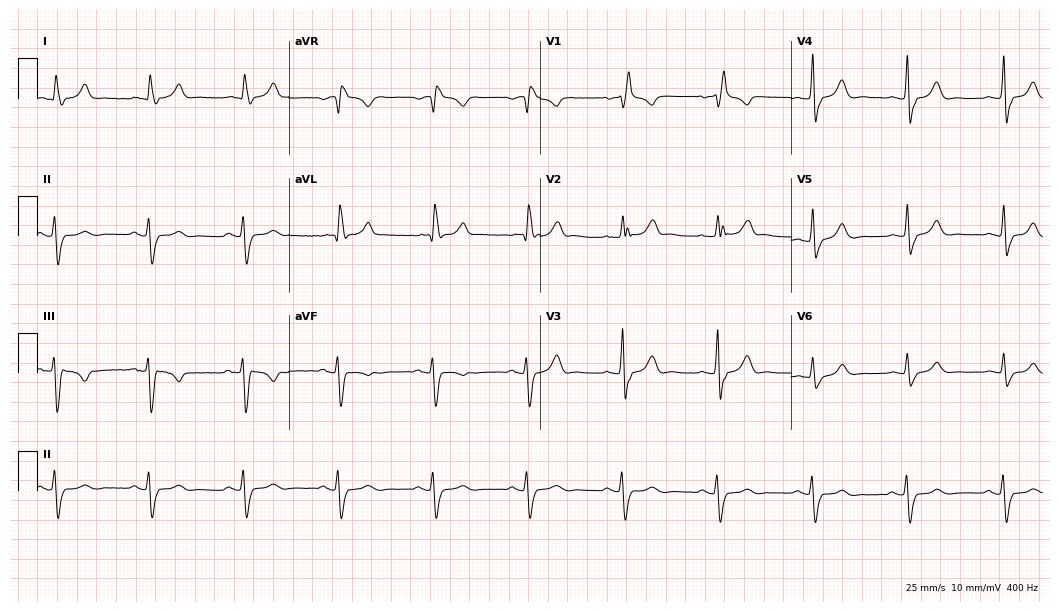
12-lead ECG (10.2-second recording at 400 Hz) from an 80-year-old male. Findings include right bundle branch block.